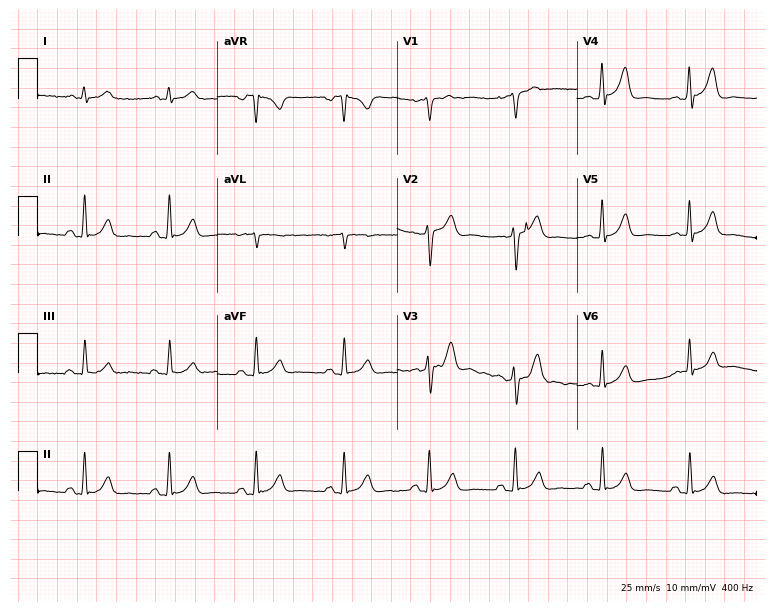
12-lead ECG (7.3-second recording at 400 Hz) from a 57-year-old male. Screened for six findings — first-degree AV block, right bundle branch block, left bundle branch block, sinus bradycardia, atrial fibrillation, sinus tachycardia — none is recorded. Only these six findings were labelled.